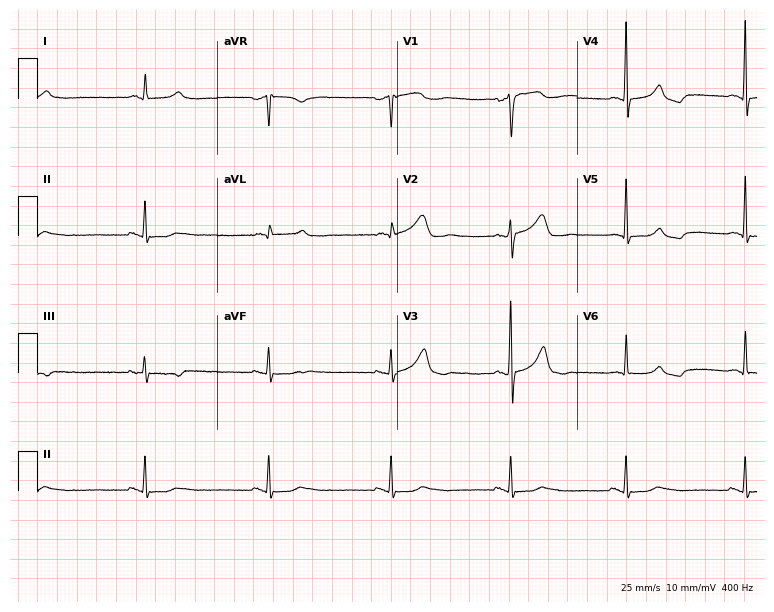
Standard 12-lead ECG recorded from a male patient, 62 years old (7.3-second recording at 400 Hz). The tracing shows sinus bradycardia (a sinus rate of 50 beats per minute or less).